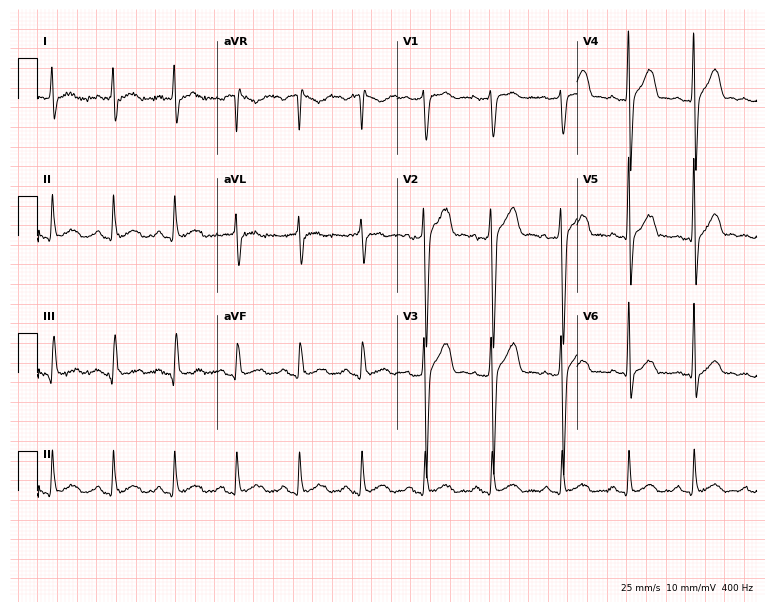
12-lead ECG (7.3-second recording at 400 Hz) from a 31-year-old male patient. Screened for six findings — first-degree AV block, right bundle branch block (RBBB), left bundle branch block (LBBB), sinus bradycardia, atrial fibrillation (AF), sinus tachycardia — none is recorded.